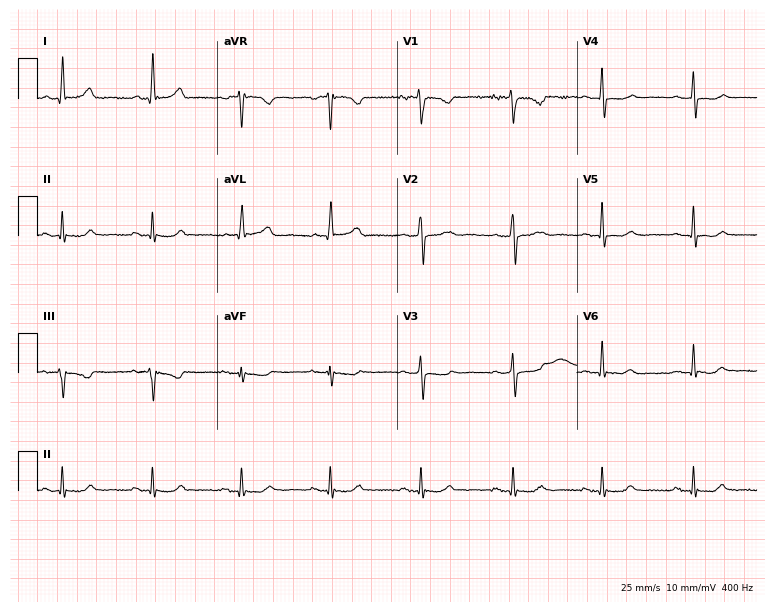
Electrocardiogram, a 42-year-old female. Overall reading on record: normal ECG.